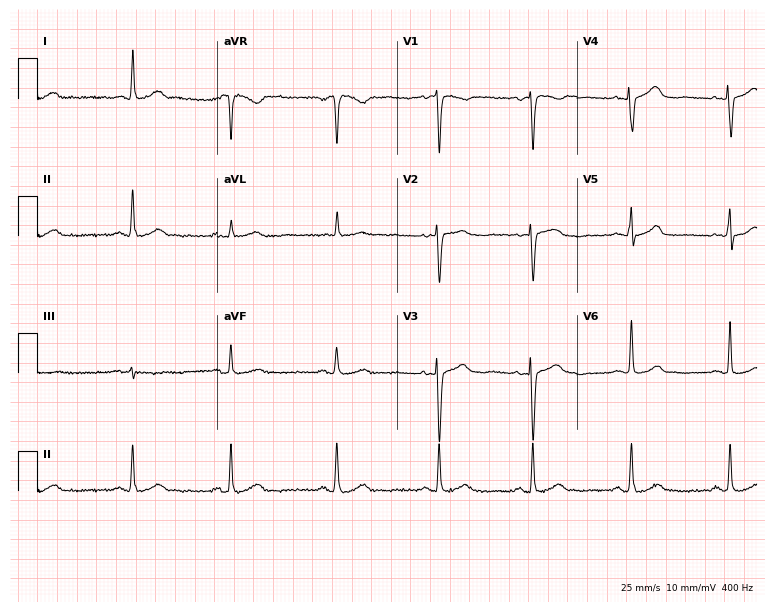
Electrocardiogram (7.3-second recording at 400 Hz), a 57-year-old woman. Of the six screened findings (first-degree AV block, right bundle branch block, left bundle branch block, sinus bradycardia, atrial fibrillation, sinus tachycardia), none is recorded. Other findings, if any, are not listed.